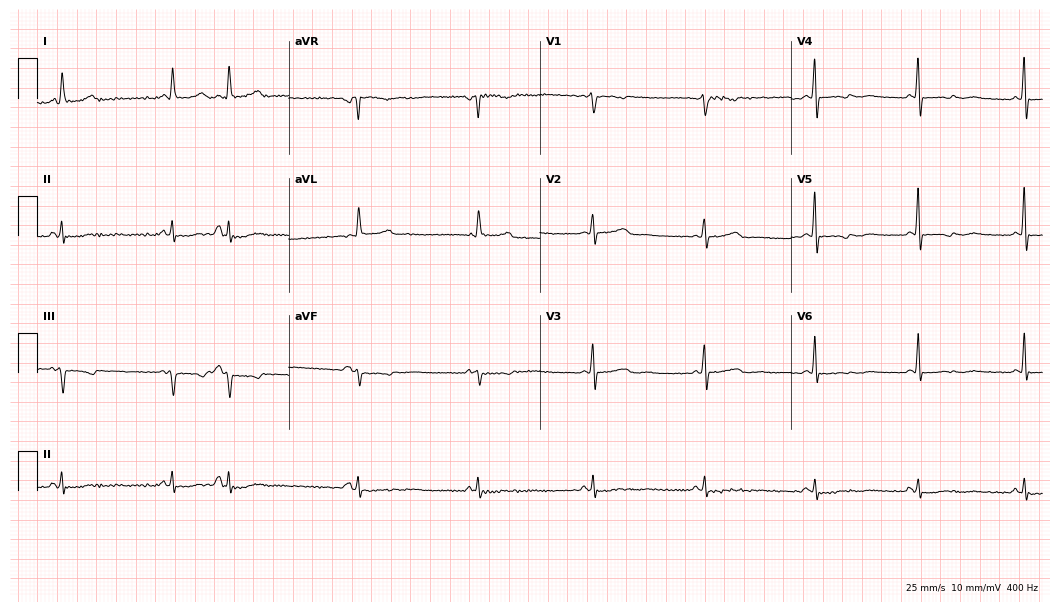
ECG — a 64-year-old female. Screened for six findings — first-degree AV block, right bundle branch block (RBBB), left bundle branch block (LBBB), sinus bradycardia, atrial fibrillation (AF), sinus tachycardia — none is recorded.